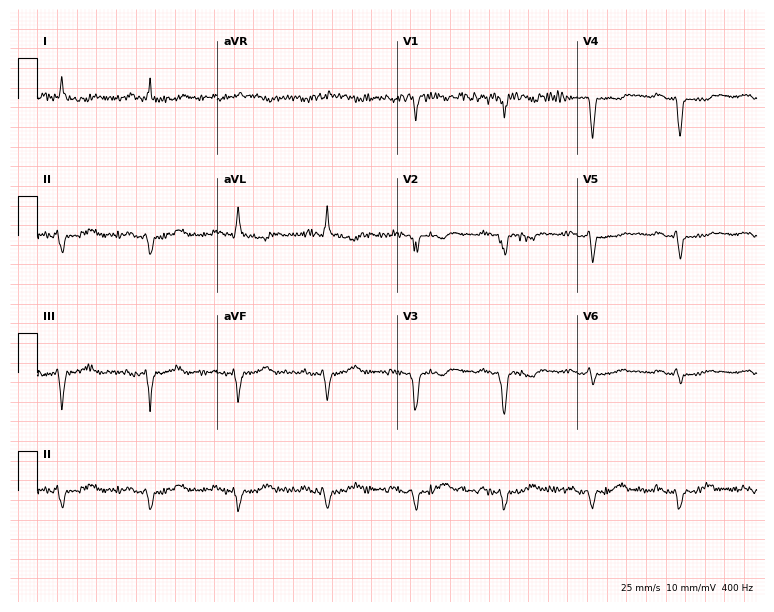
Resting 12-lead electrocardiogram (7.3-second recording at 400 Hz). Patient: a man, 78 years old. None of these six findings is recorded: first-degree AV block, right bundle branch block, left bundle branch block, sinus bradycardia, atrial fibrillation, sinus tachycardia. Findings outside these six are not listed.